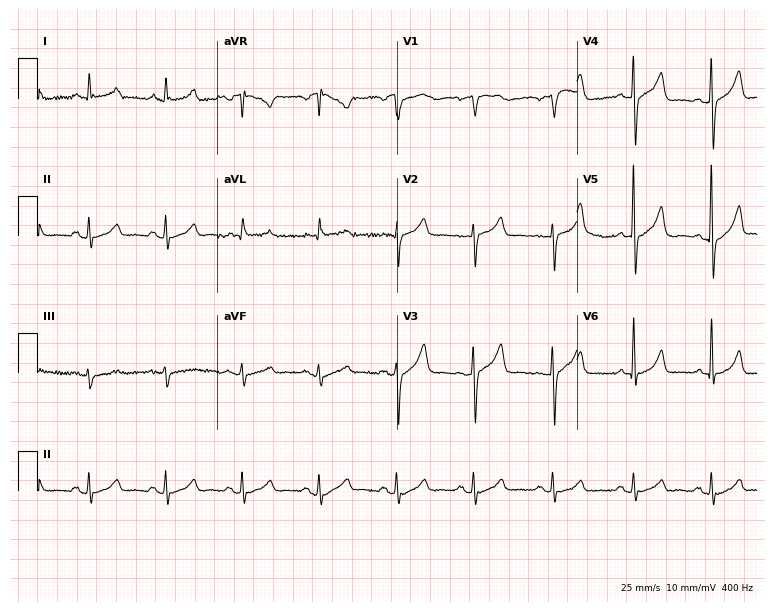
12-lead ECG from a man, 84 years old (7.3-second recording at 400 Hz). No first-degree AV block, right bundle branch block, left bundle branch block, sinus bradycardia, atrial fibrillation or sinus tachycardia recorded for this tracing. Findings outside these six are not listed.